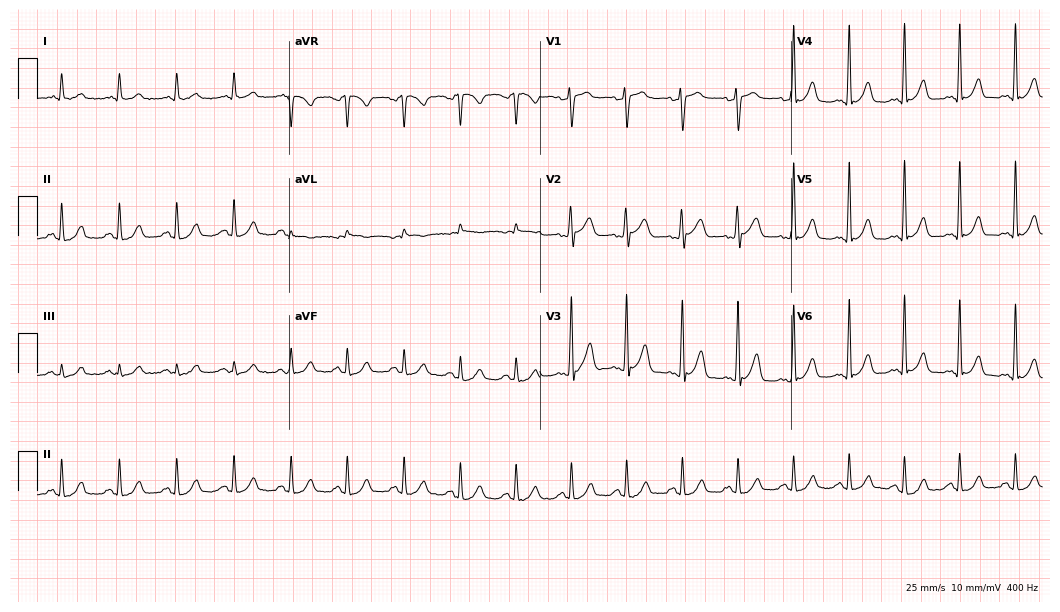
Standard 12-lead ECG recorded from a 50-year-old man (10.2-second recording at 400 Hz). The tracing shows sinus tachycardia (a sinus rate of 100 beats per minute or more).